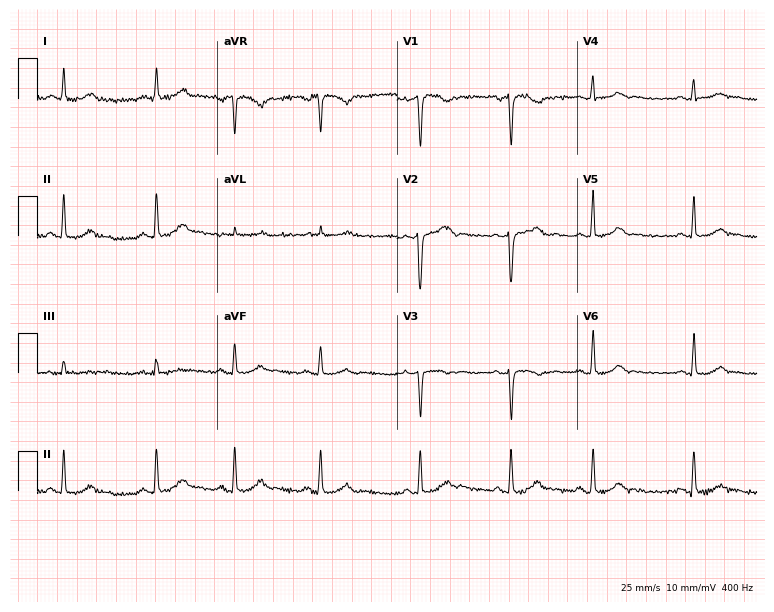
Resting 12-lead electrocardiogram. Patient: a female, 33 years old. Read as a normal ECG.